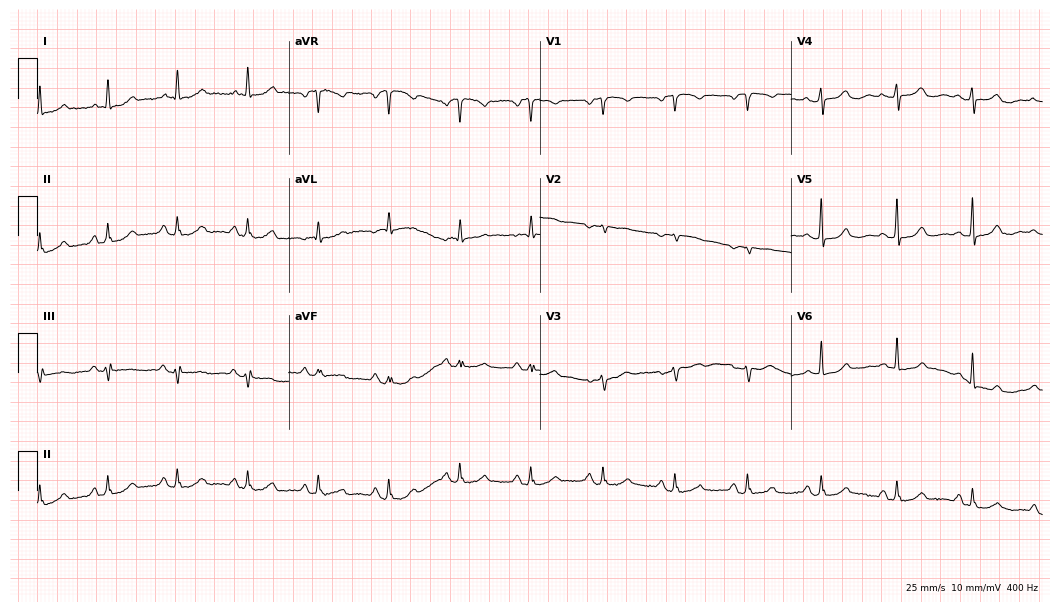
12-lead ECG from a female patient, 82 years old. No first-degree AV block, right bundle branch block, left bundle branch block, sinus bradycardia, atrial fibrillation or sinus tachycardia recorded for this tracing.